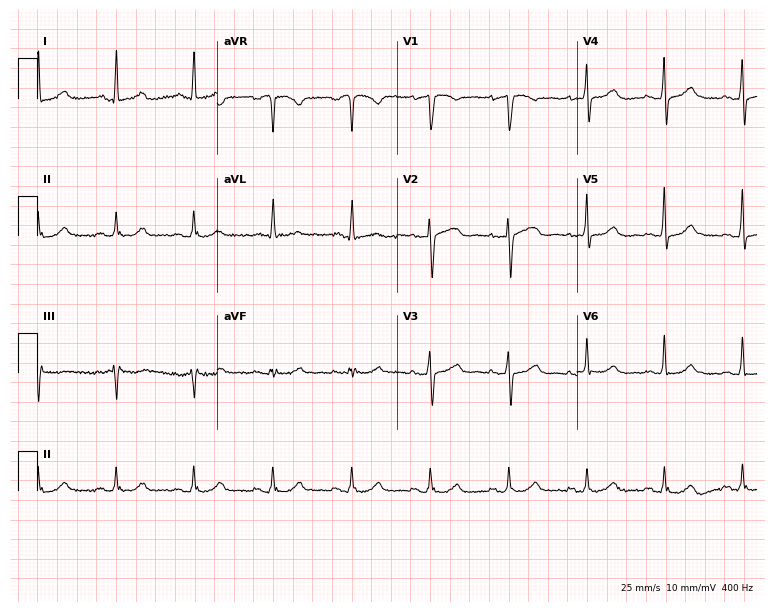
12-lead ECG from a female, 70 years old (7.3-second recording at 400 Hz). Recorded interpretation: within normal limits.